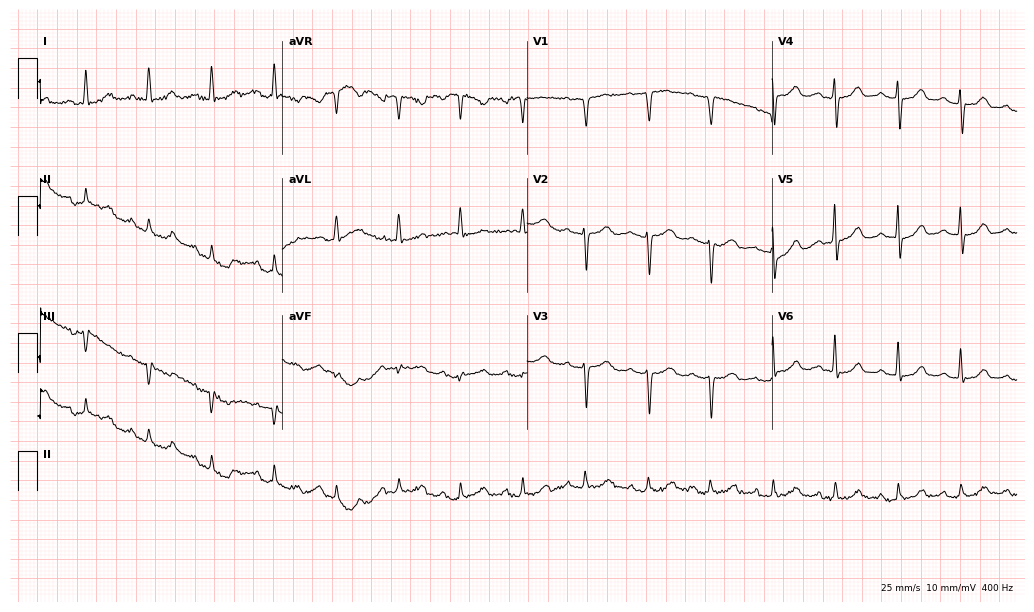
Standard 12-lead ECG recorded from a woman, 73 years old (10-second recording at 400 Hz). None of these six findings is recorded: first-degree AV block, right bundle branch block, left bundle branch block, sinus bradycardia, atrial fibrillation, sinus tachycardia. Other findings, if any, are not listed.